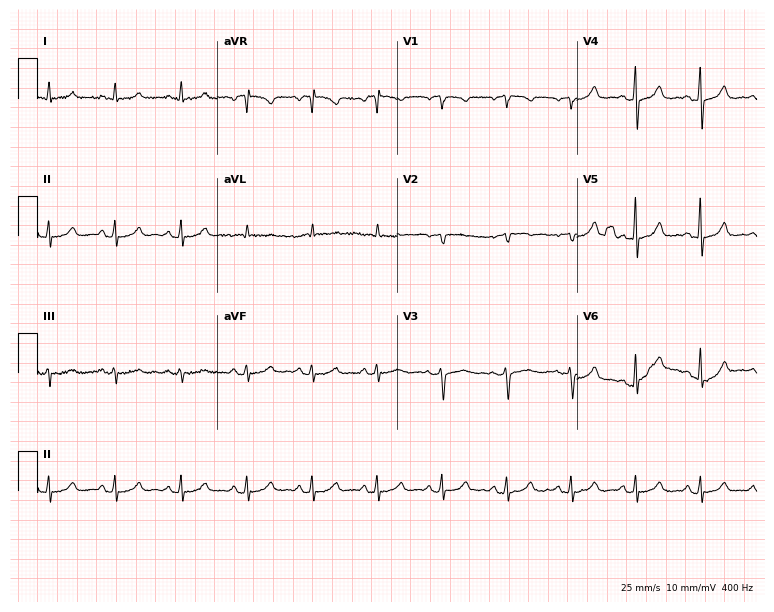
Resting 12-lead electrocardiogram (7.3-second recording at 400 Hz). Patient: a 58-year-old female. Read as a normal ECG.